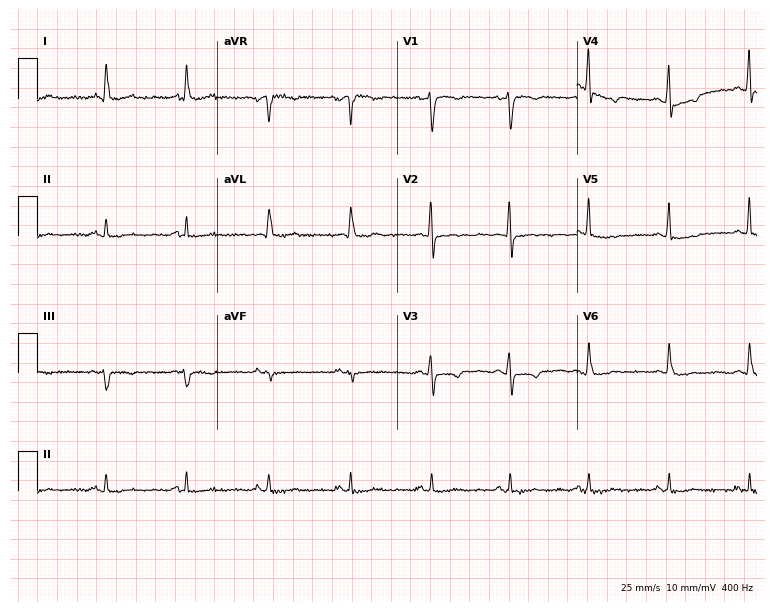
12-lead ECG from a 52-year-old woman. No first-degree AV block, right bundle branch block (RBBB), left bundle branch block (LBBB), sinus bradycardia, atrial fibrillation (AF) or sinus tachycardia recorded for this tracing. Other findings, if any, are not listed.